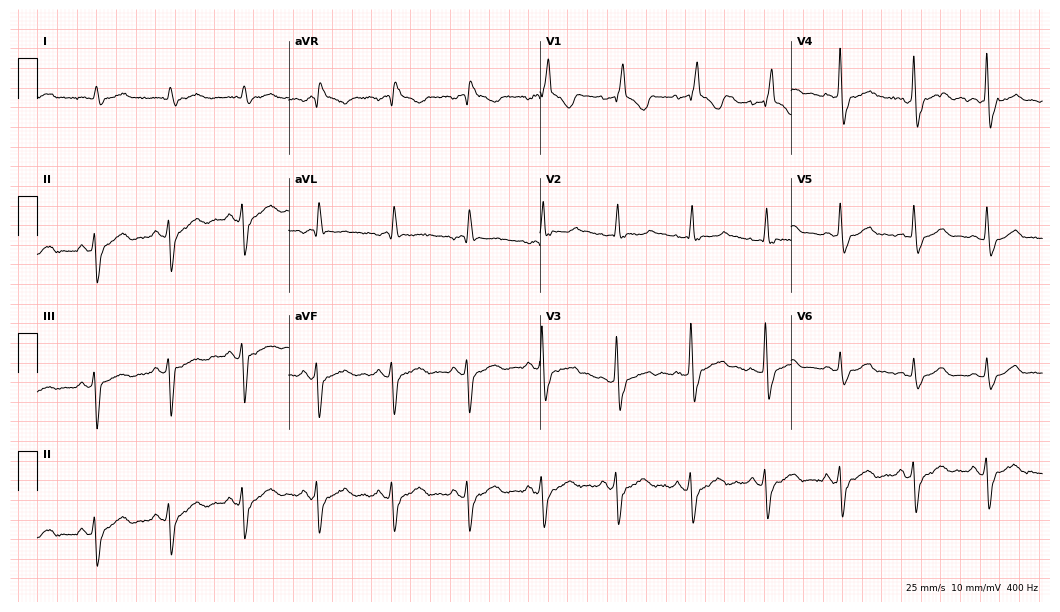
Electrocardiogram (10.2-second recording at 400 Hz), a man, 86 years old. Interpretation includes right bundle branch block.